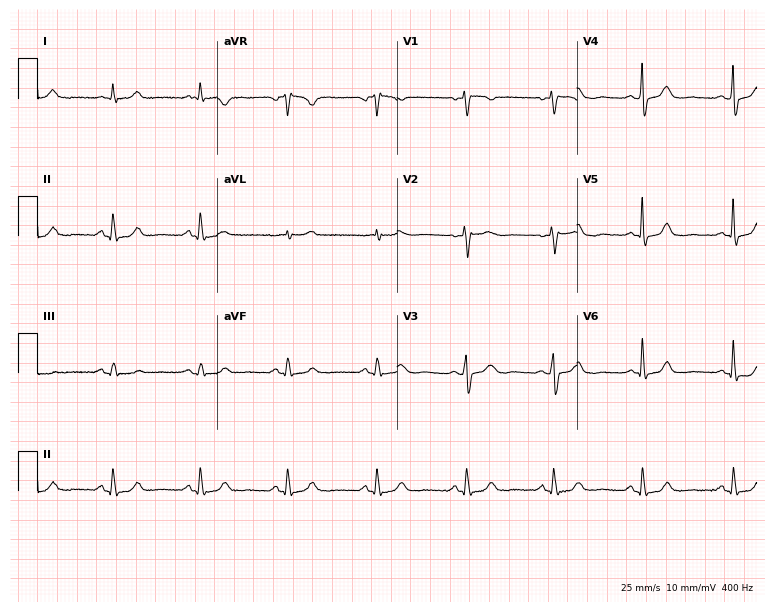
ECG — a female patient, 59 years old. Screened for six findings — first-degree AV block, right bundle branch block (RBBB), left bundle branch block (LBBB), sinus bradycardia, atrial fibrillation (AF), sinus tachycardia — none is recorded.